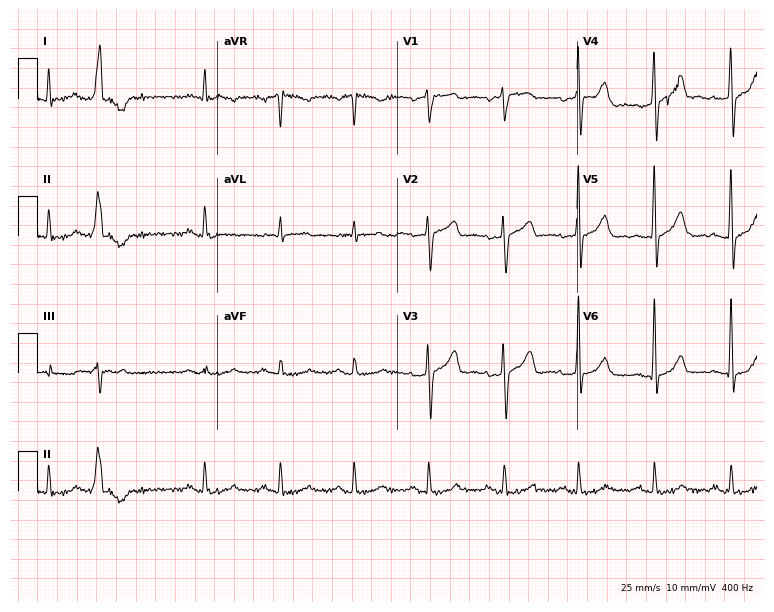
12-lead ECG from a man, 68 years old. No first-degree AV block, right bundle branch block (RBBB), left bundle branch block (LBBB), sinus bradycardia, atrial fibrillation (AF) or sinus tachycardia recorded for this tracing.